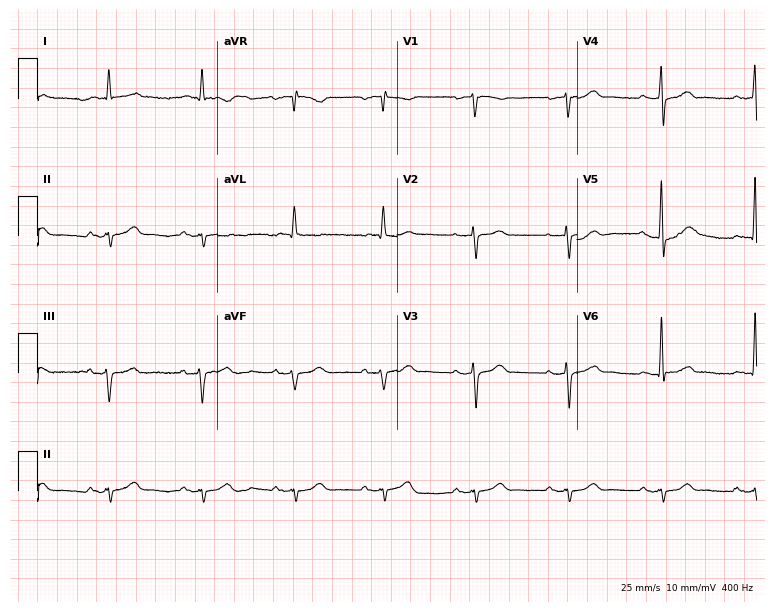
Resting 12-lead electrocardiogram (7.3-second recording at 400 Hz). Patient: an 83-year-old male. None of these six findings is recorded: first-degree AV block, right bundle branch block, left bundle branch block, sinus bradycardia, atrial fibrillation, sinus tachycardia.